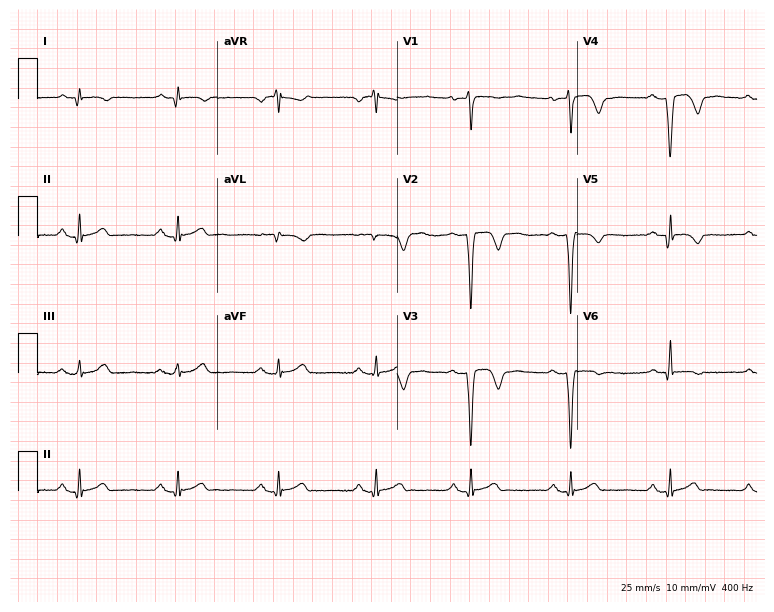
Electrocardiogram (7.3-second recording at 400 Hz), a 64-year-old female patient. Of the six screened findings (first-degree AV block, right bundle branch block, left bundle branch block, sinus bradycardia, atrial fibrillation, sinus tachycardia), none is recorded.